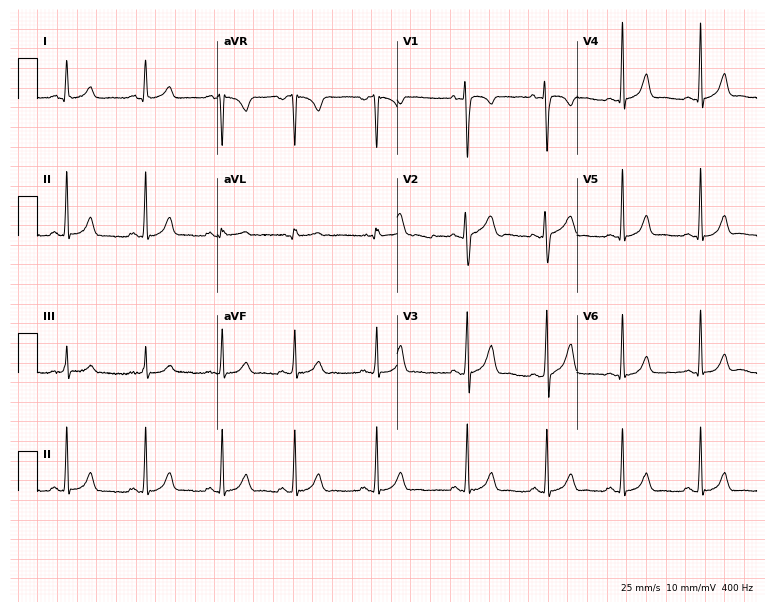
Resting 12-lead electrocardiogram. Patient: a female, 20 years old. Read as a normal ECG.